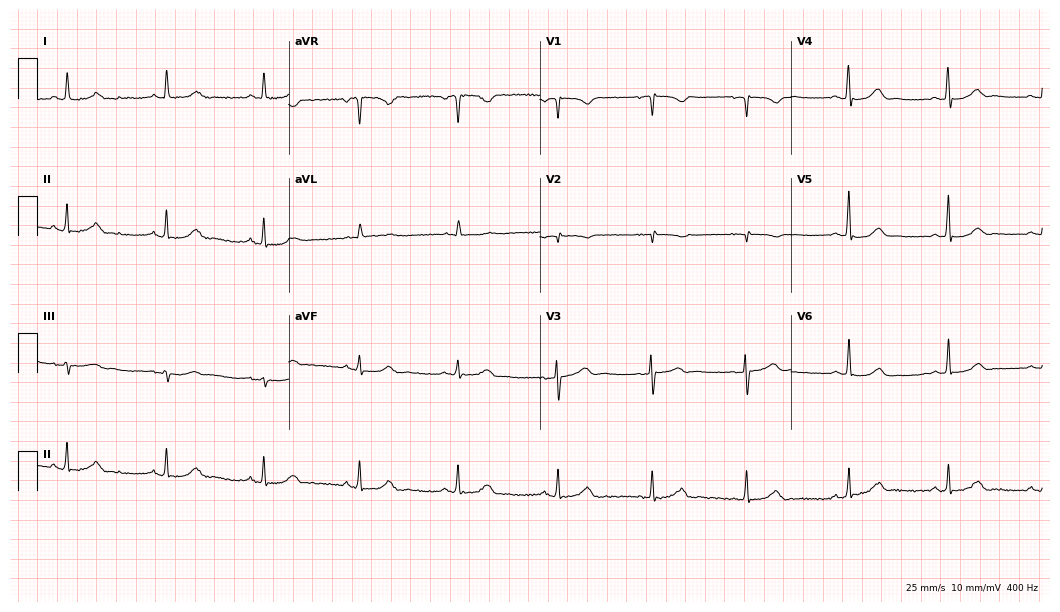
ECG — a 61-year-old woman. Labelled as a normal ECG.